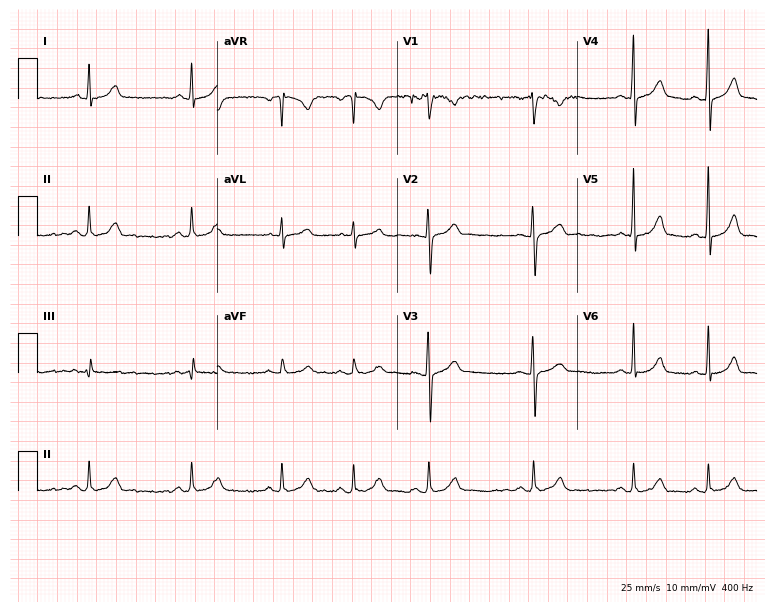
Resting 12-lead electrocardiogram. Patient: a female, 22 years old. Read as a normal ECG.